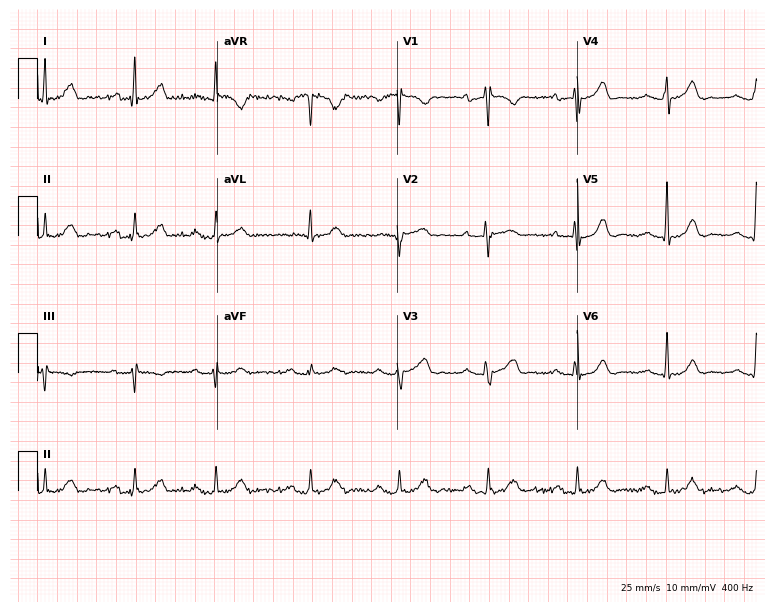
Resting 12-lead electrocardiogram (7.3-second recording at 400 Hz). Patient: a 77-year-old male. Read as a normal ECG.